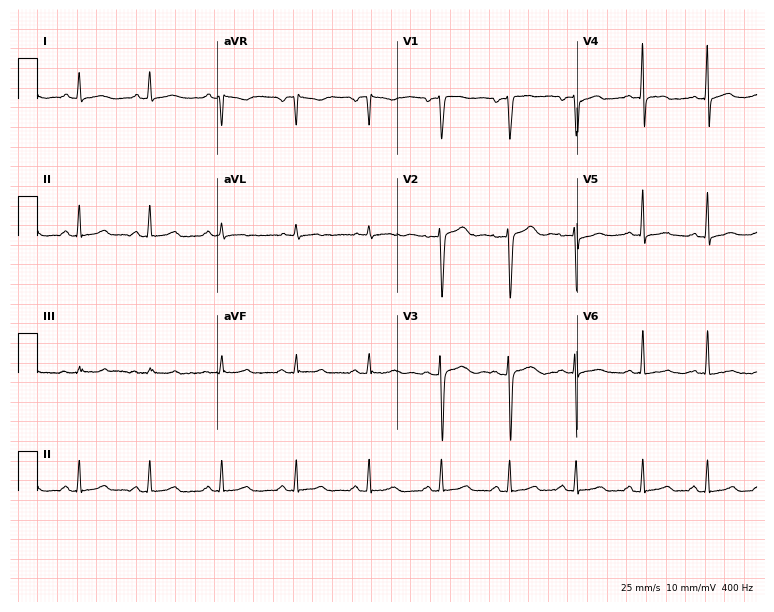
12-lead ECG from a 37-year-old female patient. Recorded interpretation: within normal limits.